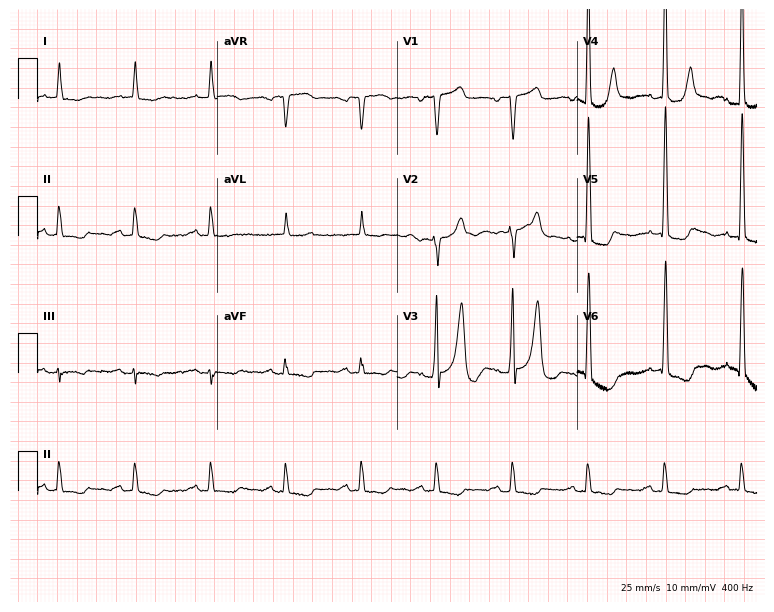
ECG — a man, 84 years old. Screened for six findings — first-degree AV block, right bundle branch block (RBBB), left bundle branch block (LBBB), sinus bradycardia, atrial fibrillation (AF), sinus tachycardia — none is recorded.